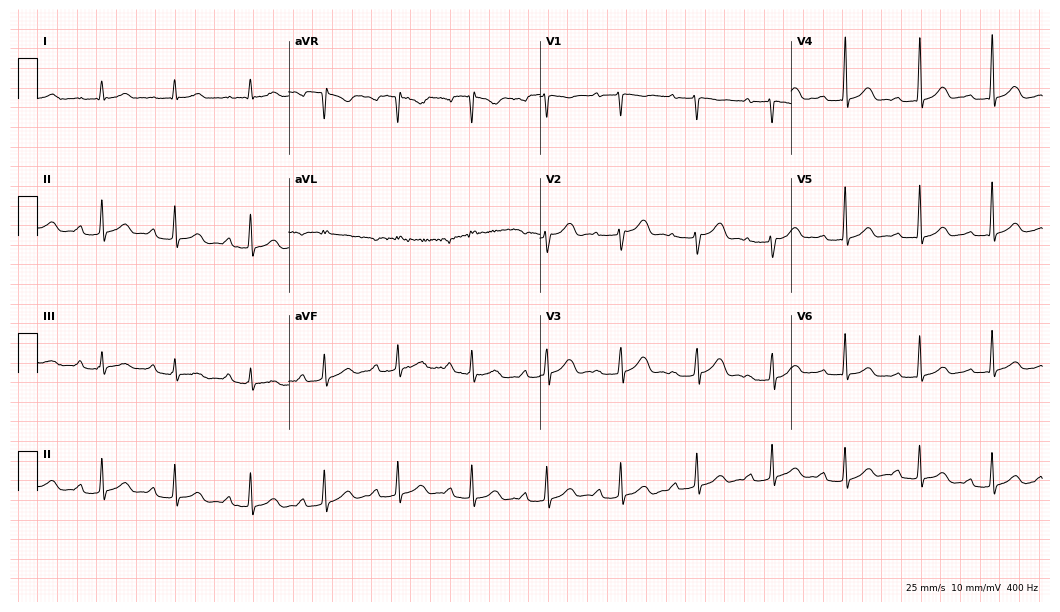
12-lead ECG (10.2-second recording at 400 Hz) from a female, 32 years old. Findings include first-degree AV block.